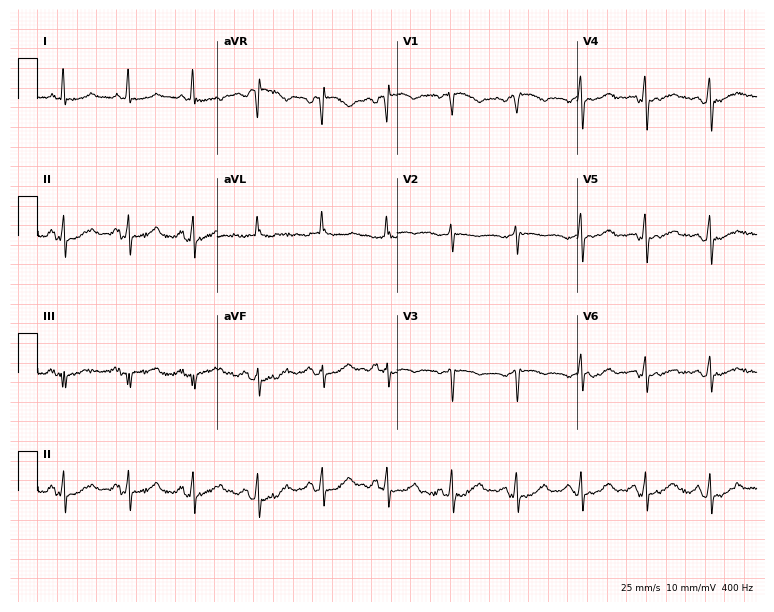
12-lead ECG from a 62-year-old female patient. No first-degree AV block, right bundle branch block (RBBB), left bundle branch block (LBBB), sinus bradycardia, atrial fibrillation (AF) or sinus tachycardia recorded for this tracing.